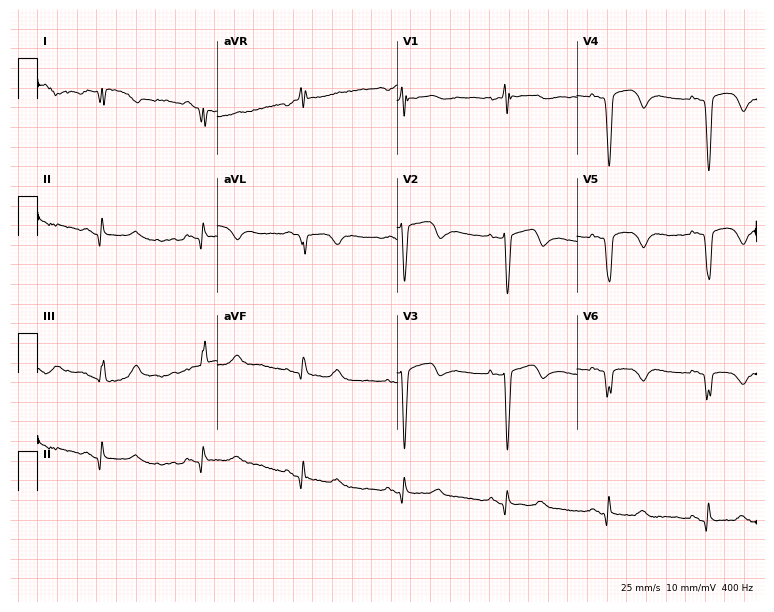
Electrocardiogram, a female patient, 65 years old. Of the six screened findings (first-degree AV block, right bundle branch block, left bundle branch block, sinus bradycardia, atrial fibrillation, sinus tachycardia), none is recorded.